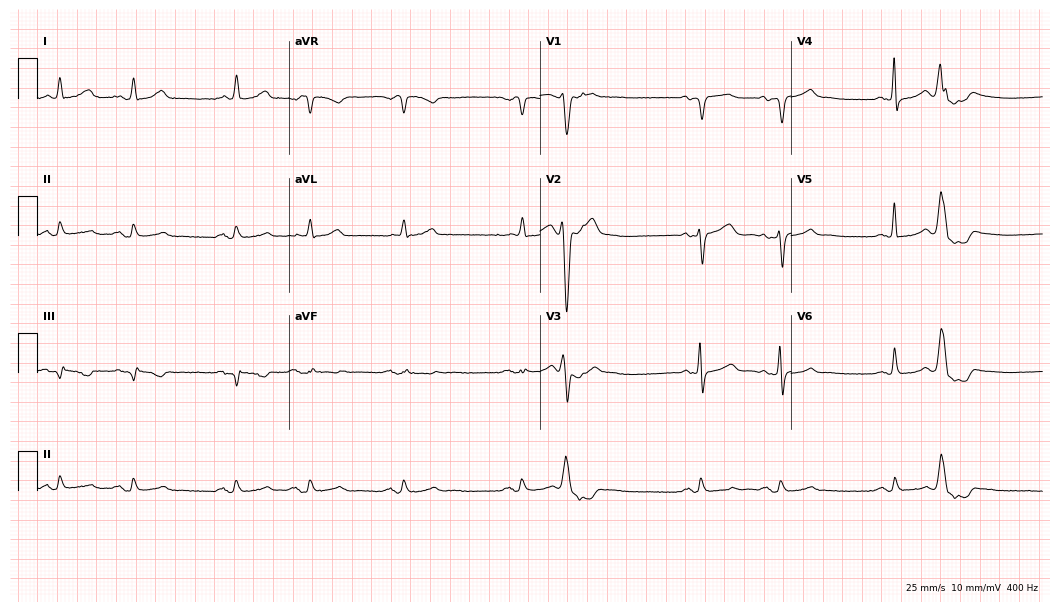
12-lead ECG from a 64-year-old female patient. Screened for six findings — first-degree AV block, right bundle branch block (RBBB), left bundle branch block (LBBB), sinus bradycardia, atrial fibrillation (AF), sinus tachycardia — none is recorded.